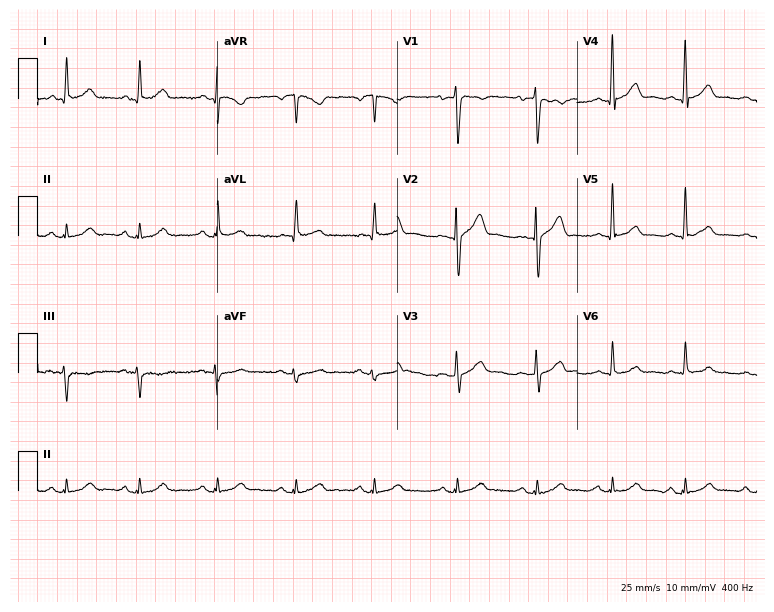
12-lead ECG (7.3-second recording at 400 Hz) from a male, 36 years old. Screened for six findings — first-degree AV block, right bundle branch block, left bundle branch block, sinus bradycardia, atrial fibrillation, sinus tachycardia — none is recorded. Only these six findings were labelled.